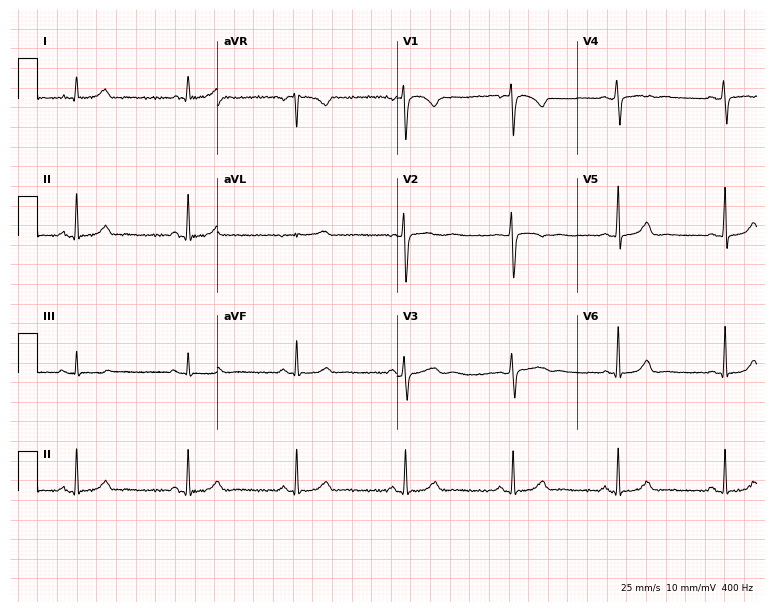
12-lead ECG (7.3-second recording at 400 Hz) from a female patient, 36 years old. Screened for six findings — first-degree AV block, right bundle branch block (RBBB), left bundle branch block (LBBB), sinus bradycardia, atrial fibrillation (AF), sinus tachycardia — none is recorded. Findings outside these six are not listed.